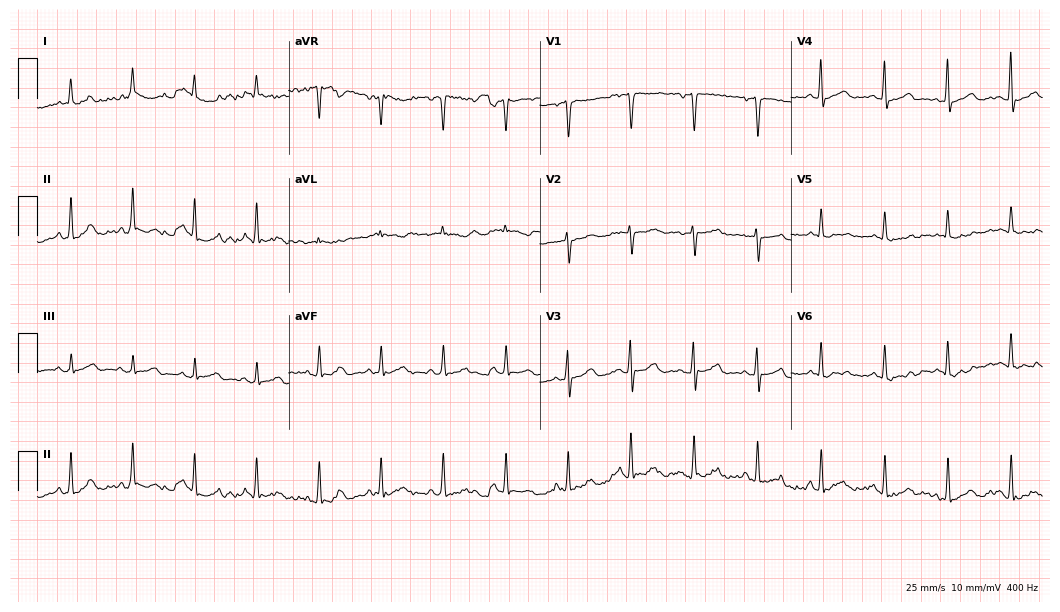
Electrocardiogram, a female patient, 48 years old. Of the six screened findings (first-degree AV block, right bundle branch block, left bundle branch block, sinus bradycardia, atrial fibrillation, sinus tachycardia), none is recorded.